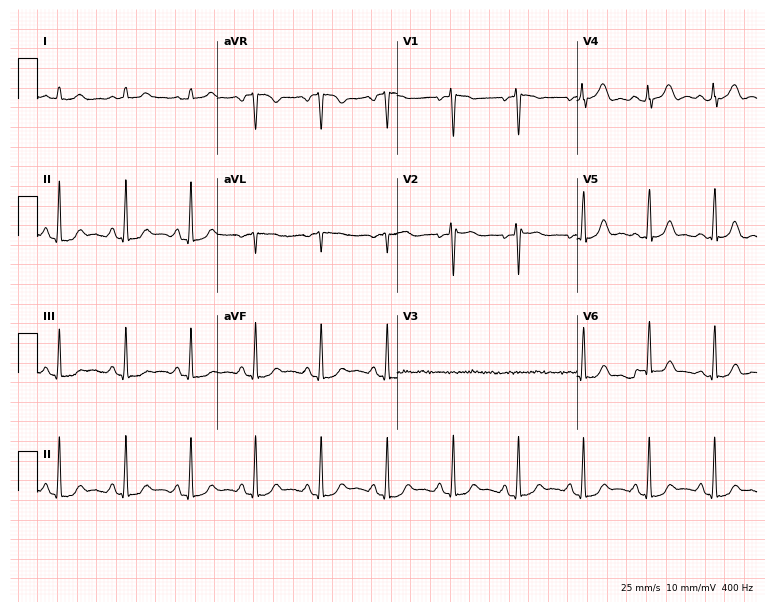
Standard 12-lead ECG recorded from a female, 40 years old (7.3-second recording at 400 Hz). None of these six findings is recorded: first-degree AV block, right bundle branch block, left bundle branch block, sinus bradycardia, atrial fibrillation, sinus tachycardia.